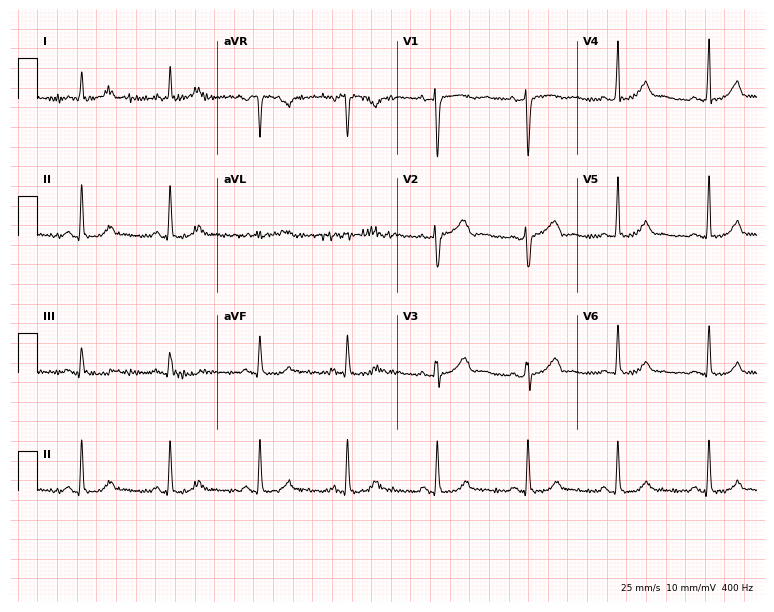
Electrocardiogram, a 40-year-old woman. Overall reading on record: normal ECG.